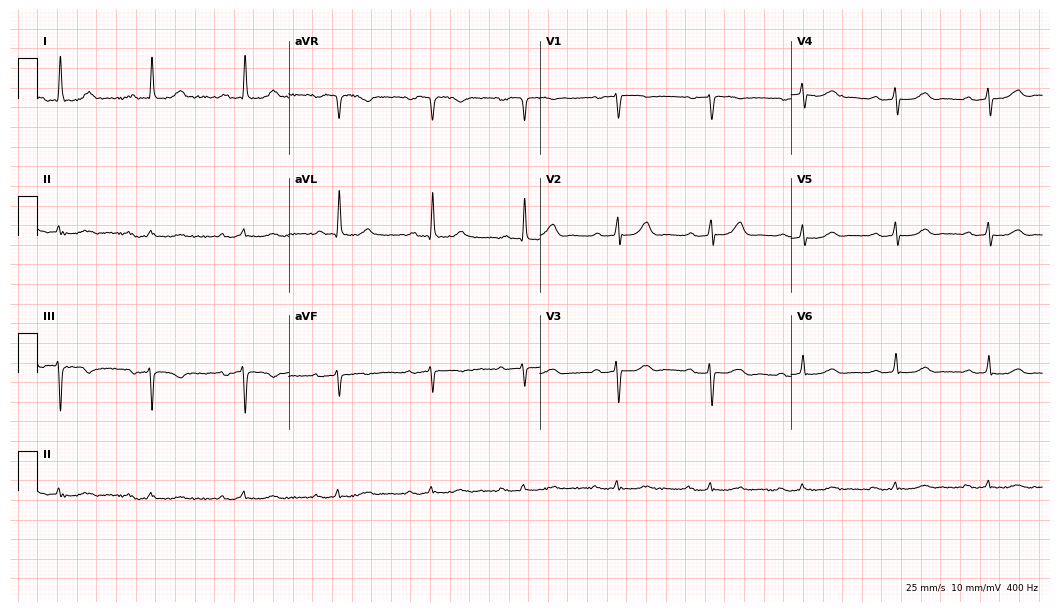
Electrocardiogram (10.2-second recording at 400 Hz), a woman, 83 years old. Of the six screened findings (first-degree AV block, right bundle branch block, left bundle branch block, sinus bradycardia, atrial fibrillation, sinus tachycardia), none is recorded.